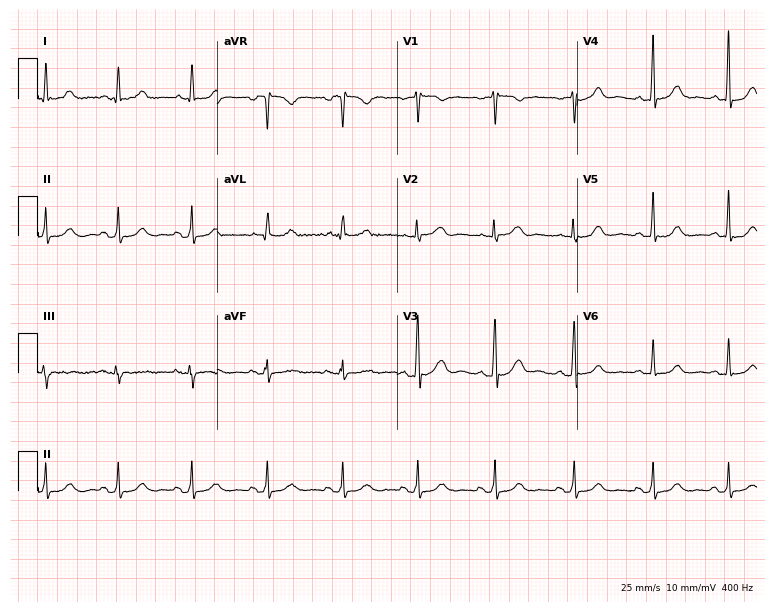
ECG — a 54-year-old woman. Labelled as a normal ECG.